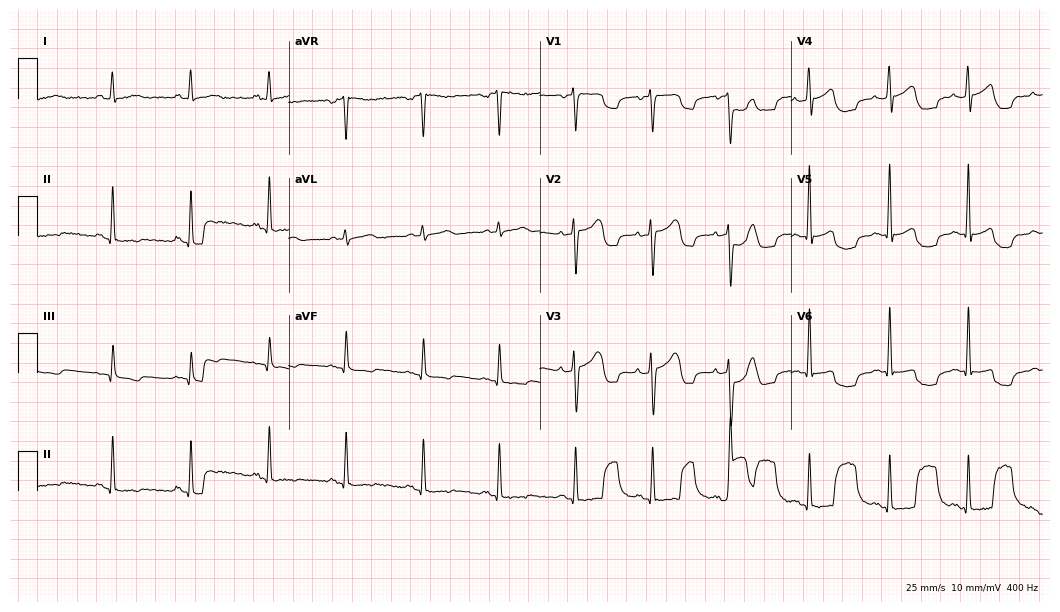
12-lead ECG from a man, 54 years old. Recorded interpretation: within normal limits.